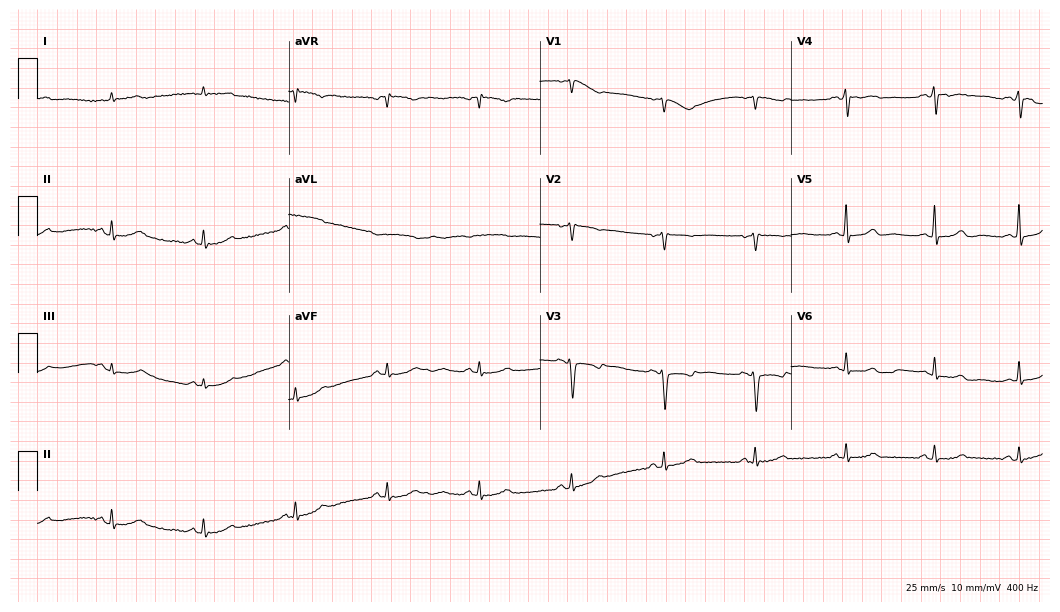
12-lead ECG from a female, 51 years old. No first-degree AV block, right bundle branch block, left bundle branch block, sinus bradycardia, atrial fibrillation or sinus tachycardia recorded for this tracing. Only these six findings were labelled.